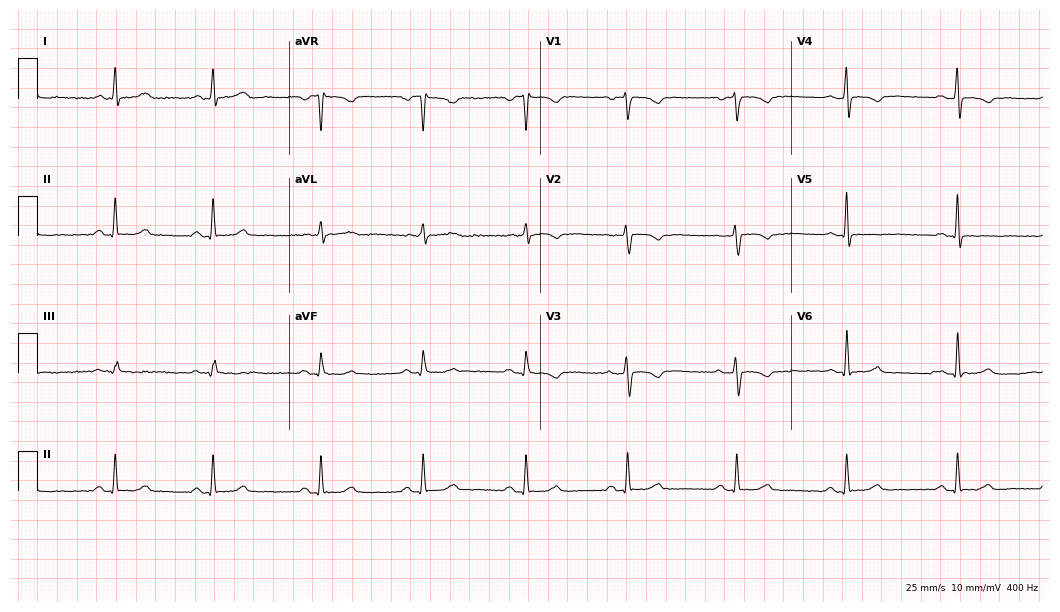
12-lead ECG from a female, 35 years old. No first-degree AV block, right bundle branch block (RBBB), left bundle branch block (LBBB), sinus bradycardia, atrial fibrillation (AF) or sinus tachycardia recorded for this tracing.